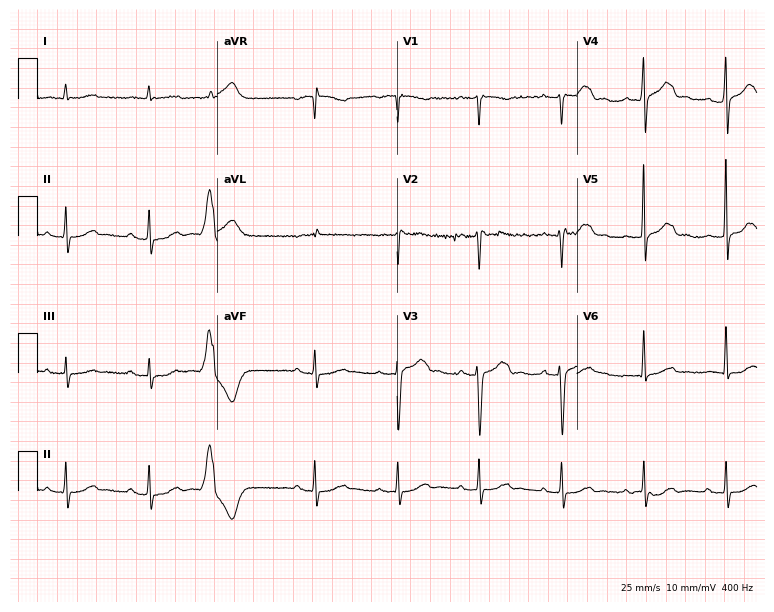
ECG — a 63-year-old male patient. Screened for six findings — first-degree AV block, right bundle branch block (RBBB), left bundle branch block (LBBB), sinus bradycardia, atrial fibrillation (AF), sinus tachycardia — none is recorded.